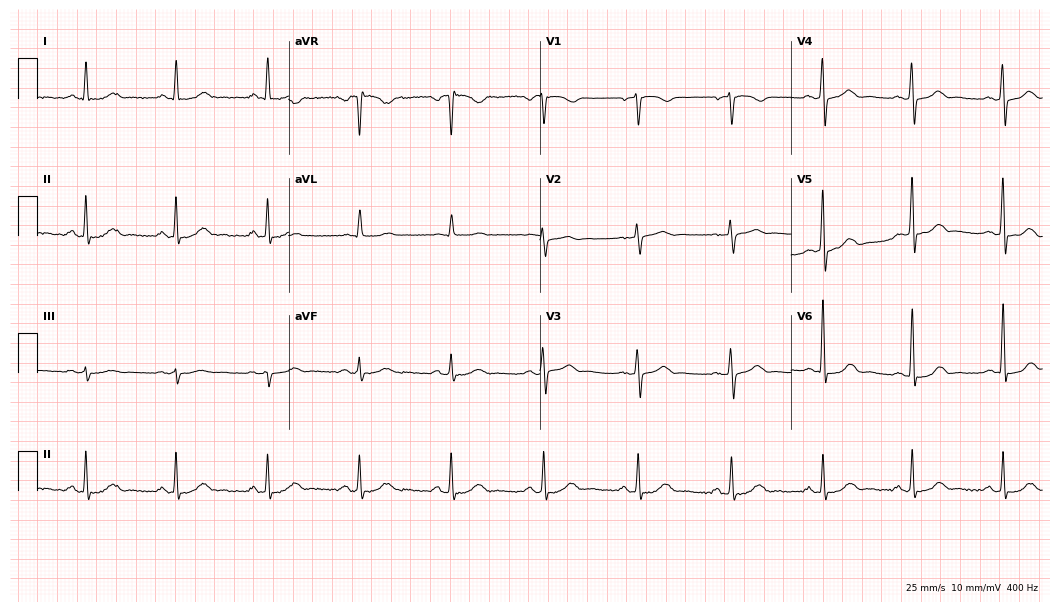
12-lead ECG from a woman, 62 years old (10.2-second recording at 400 Hz). No first-degree AV block, right bundle branch block, left bundle branch block, sinus bradycardia, atrial fibrillation or sinus tachycardia recorded for this tracing.